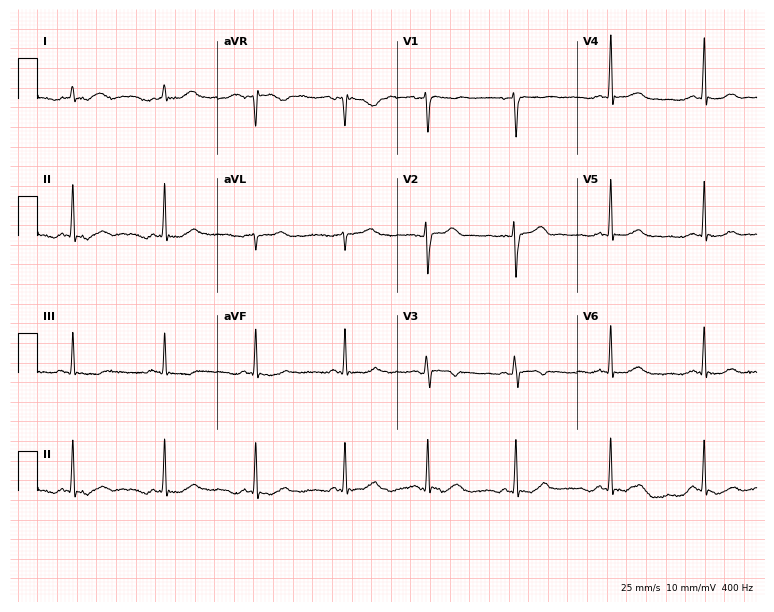
12-lead ECG from a 22-year-old female patient. No first-degree AV block, right bundle branch block, left bundle branch block, sinus bradycardia, atrial fibrillation or sinus tachycardia recorded for this tracing. Other findings, if any, are not listed.